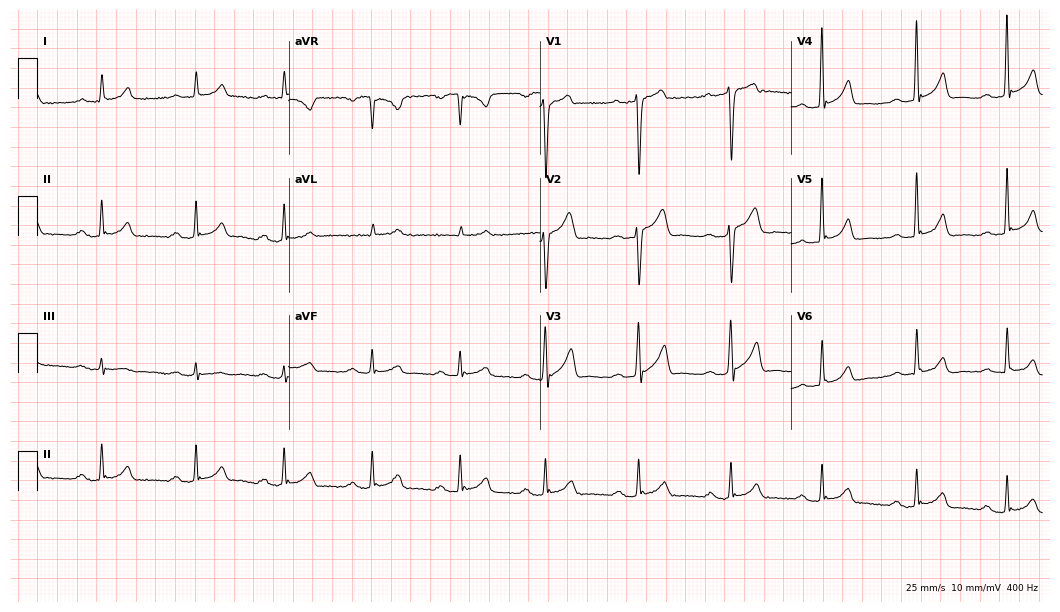
12-lead ECG from a 45-year-old male (10.2-second recording at 400 Hz). Shows first-degree AV block.